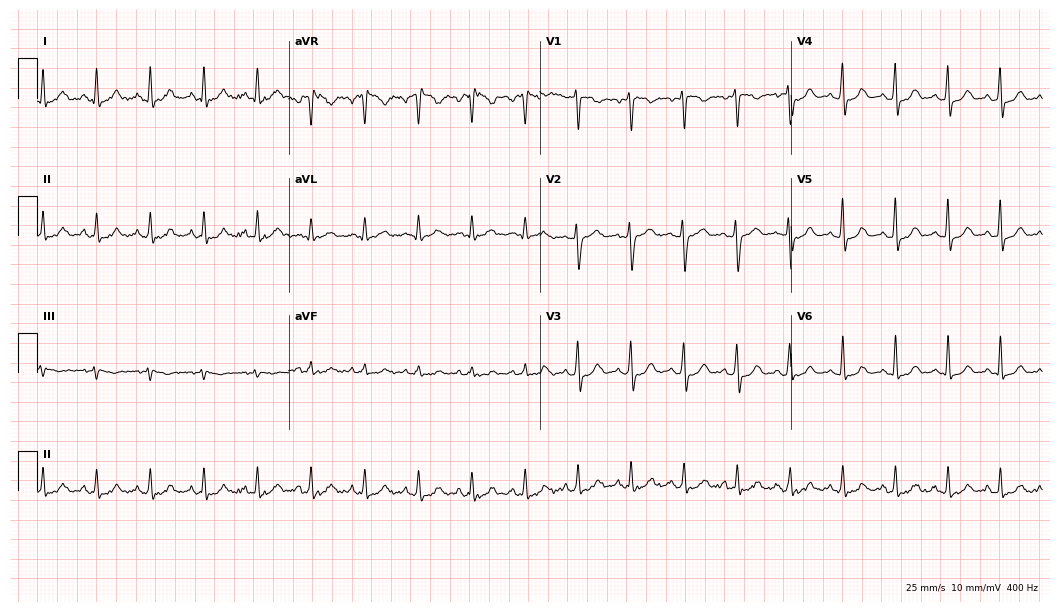
Electrocardiogram (10.2-second recording at 400 Hz), a 37-year-old woman. Interpretation includes sinus tachycardia (a sinus rate of 100 beats per minute or more).